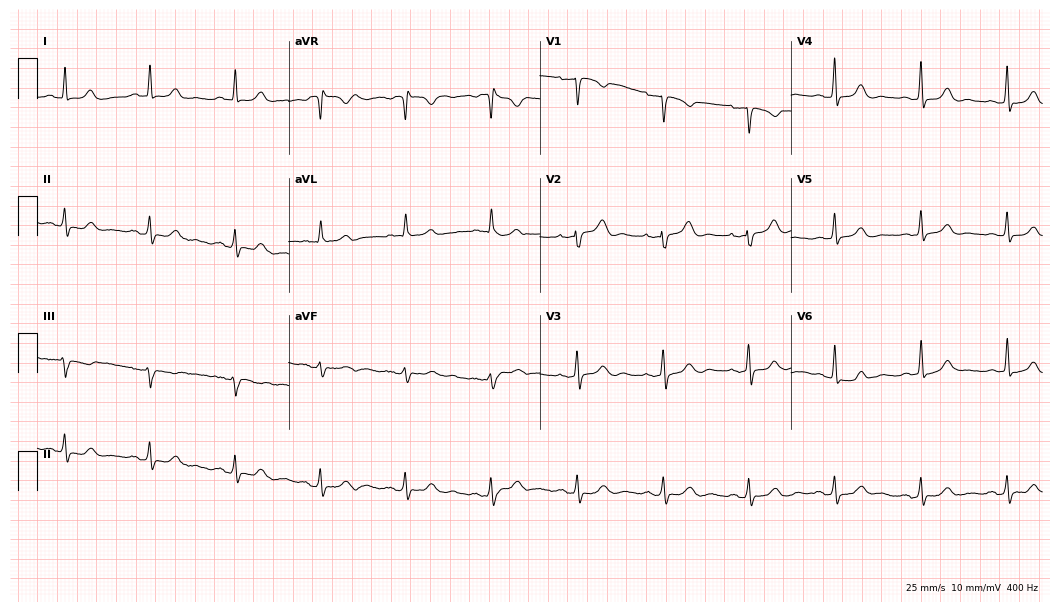
12-lead ECG from a female patient, 56 years old. Labelled as a normal ECG.